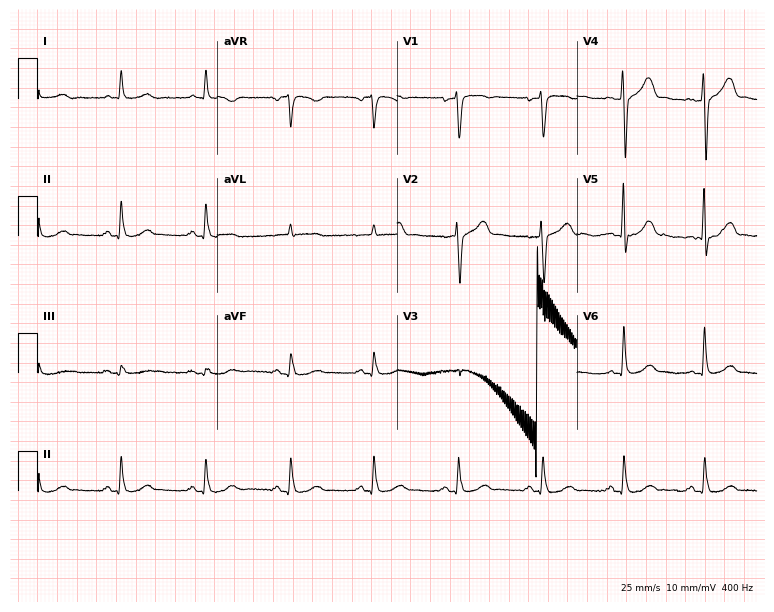
12-lead ECG from a 63-year-old man (7.3-second recording at 400 Hz). Recorded interpretation: within normal limits.